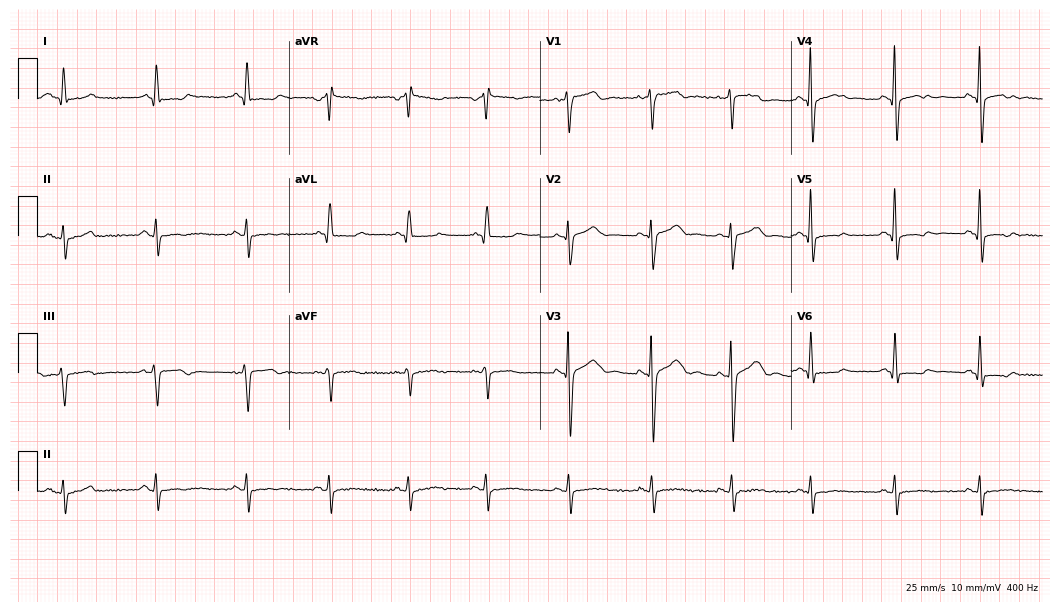
Electrocardiogram, a 66-year-old male. Overall reading on record: normal ECG.